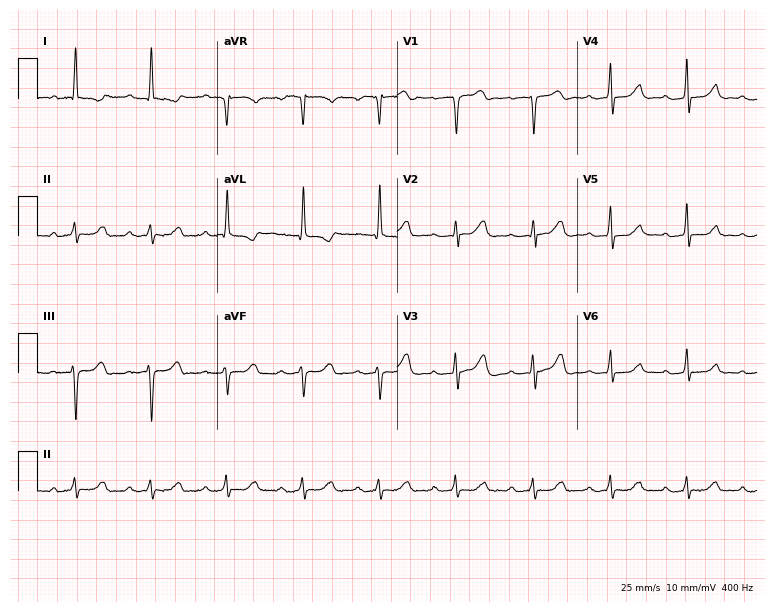
12-lead ECG from a female, 77 years old. Shows first-degree AV block.